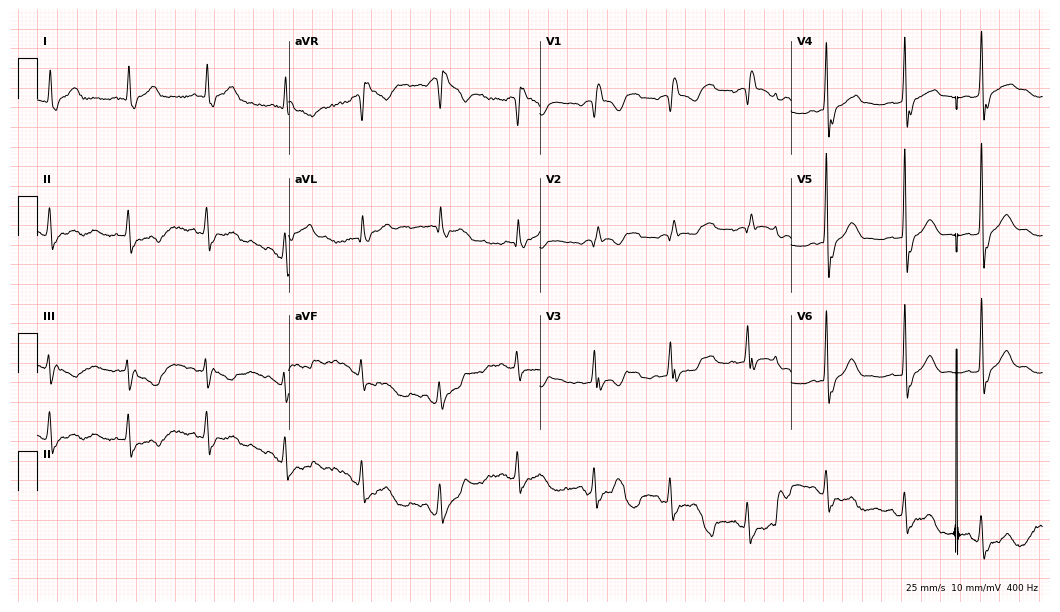
Electrocardiogram, a female, 60 years old. Interpretation includes right bundle branch block.